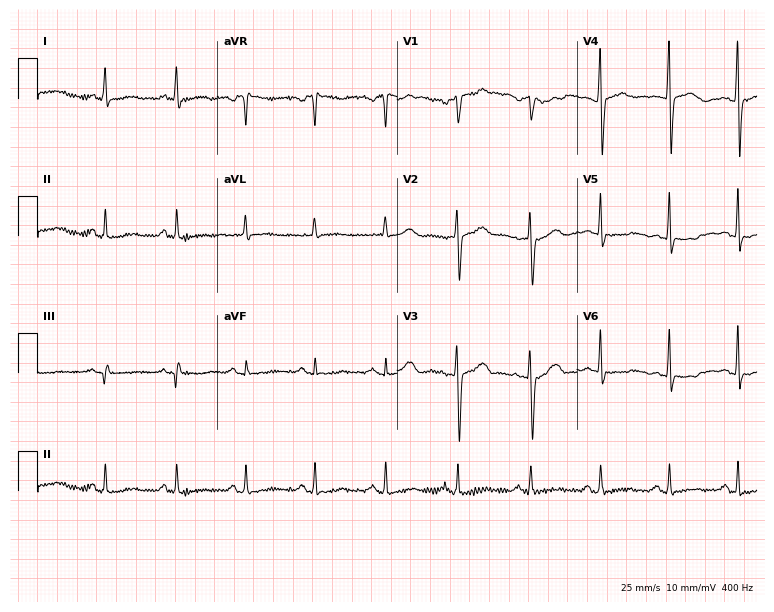
Standard 12-lead ECG recorded from a 57-year-old woman. None of these six findings is recorded: first-degree AV block, right bundle branch block, left bundle branch block, sinus bradycardia, atrial fibrillation, sinus tachycardia.